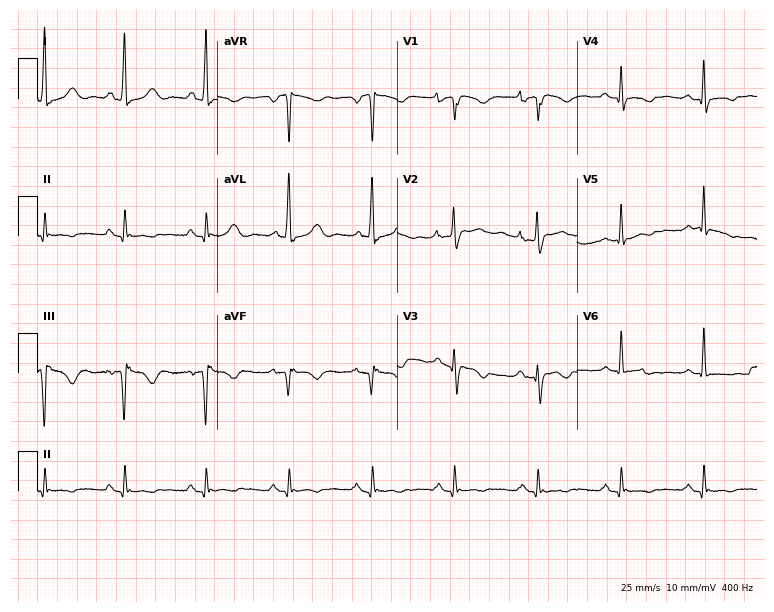
ECG (7.3-second recording at 400 Hz) — a 62-year-old female. Screened for six findings — first-degree AV block, right bundle branch block, left bundle branch block, sinus bradycardia, atrial fibrillation, sinus tachycardia — none is recorded.